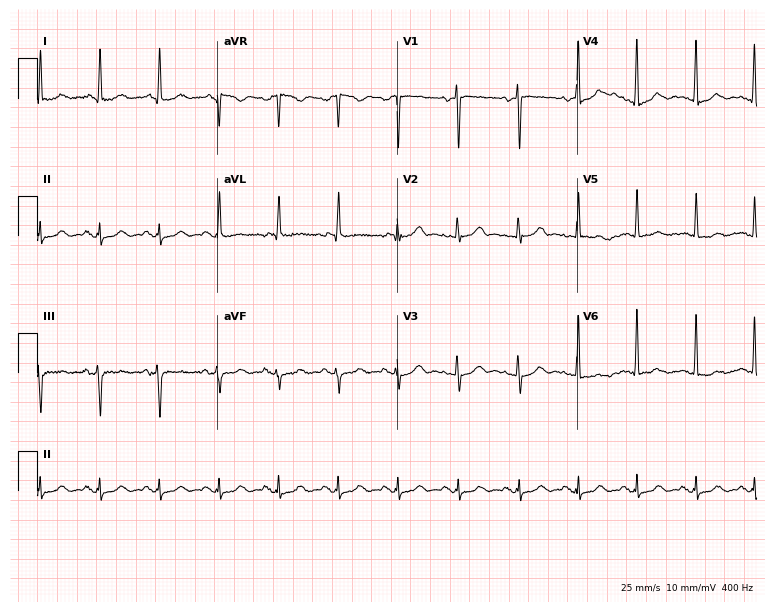
Resting 12-lead electrocardiogram (7.3-second recording at 400 Hz). Patient: a woman, 69 years old. None of these six findings is recorded: first-degree AV block, right bundle branch block (RBBB), left bundle branch block (LBBB), sinus bradycardia, atrial fibrillation (AF), sinus tachycardia.